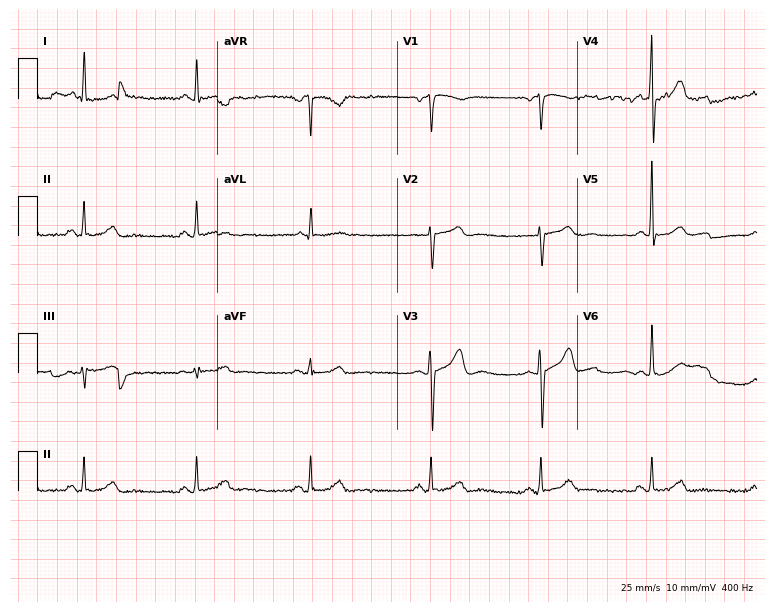
Resting 12-lead electrocardiogram. Patient: a 67-year-old man. None of these six findings is recorded: first-degree AV block, right bundle branch block, left bundle branch block, sinus bradycardia, atrial fibrillation, sinus tachycardia. Only these six findings were labelled.